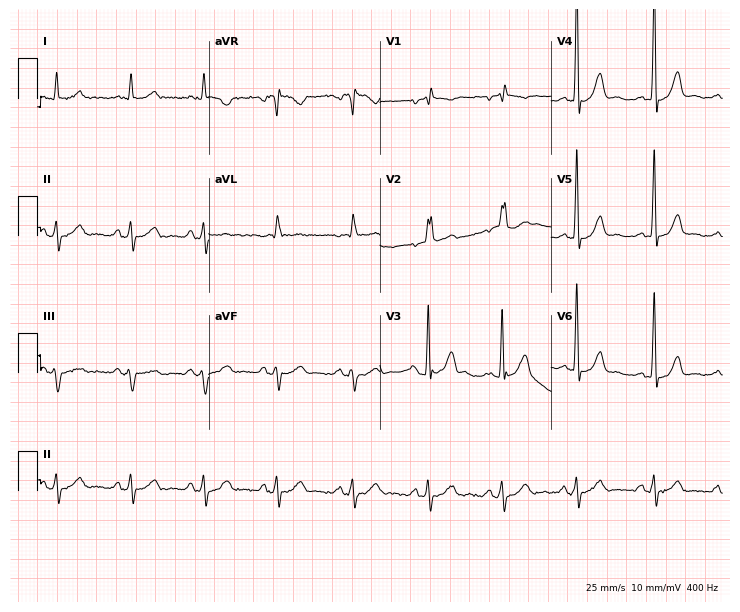
12-lead ECG (7-second recording at 400 Hz) from a male, 74 years old. Labelled as a normal ECG.